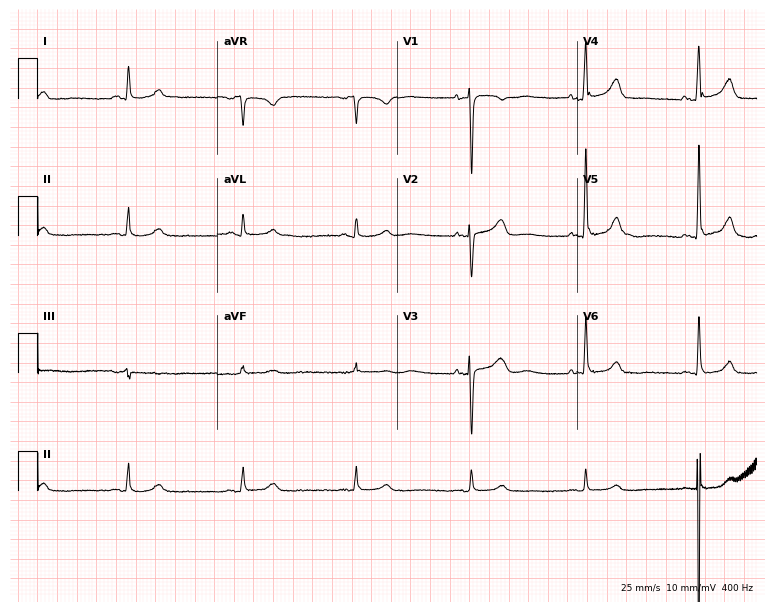
12-lead ECG from a 79-year-old woman (7.3-second recording at 400 Hz). No first-degree AV block, right bundle branch block (RBBB), left bundle branch block (LBBB), sinus bradycardia, atrial fibrillation (AF) or sinus tachycardia recorded for this tracing.